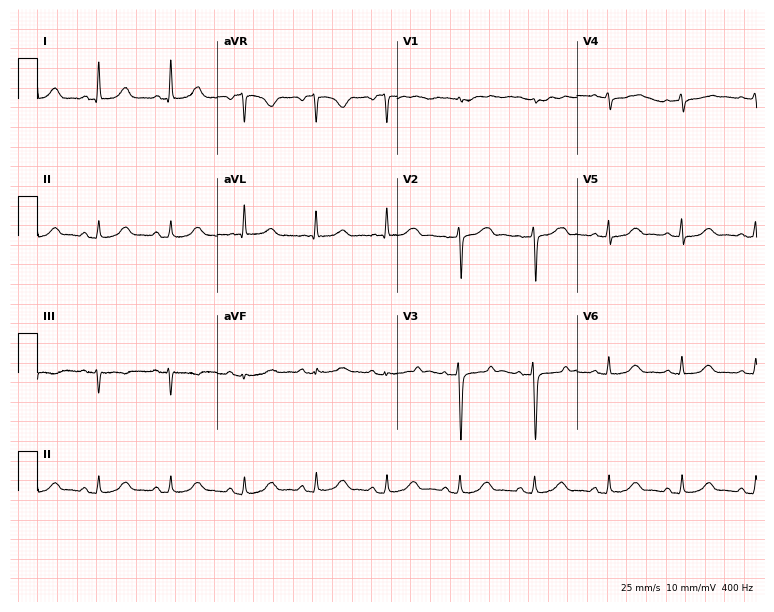
Electrocardiogram, a woman, 58 years old. Of the six screened findings (first-degree AV block, right bundle branch block, left bundle branch block, sinus bradycardia, atrial fibrillation, sinus tachycardia), none is recorded.